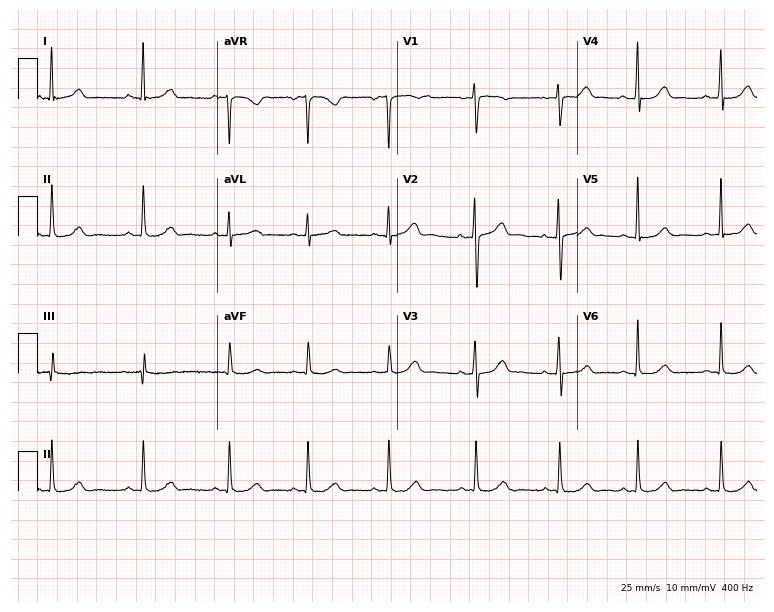
12-lead ECG from a female patient, 40 years old (7.3-second recording at 400 Hz). Recorded interpretation: within normal limits.